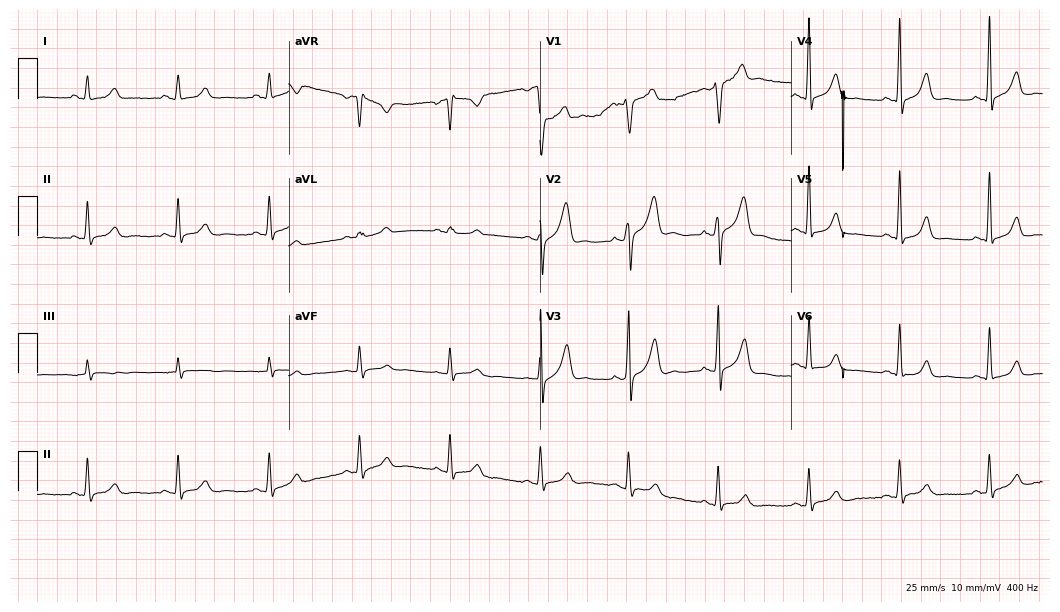
12-lead ECG from a 41-year-old man. Labelled as a normal ECG.